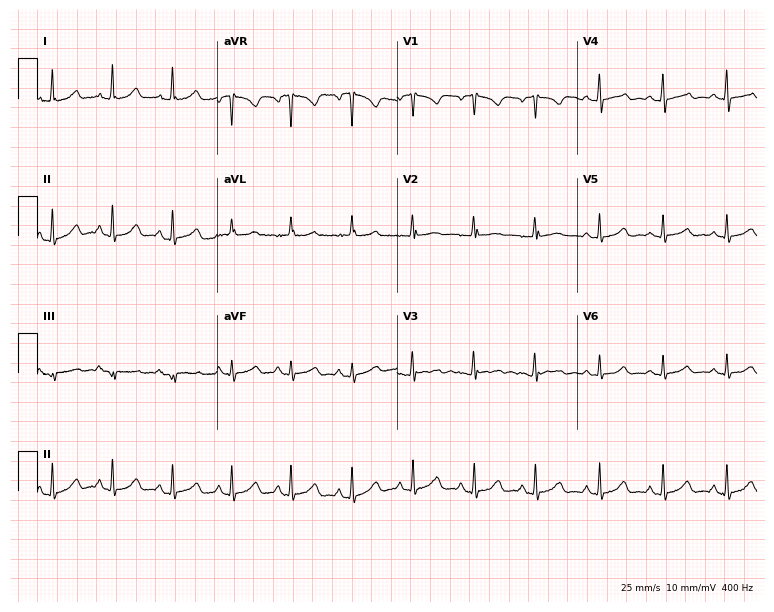
Standard 12-lead ECG recorded from a 20-year-old female (7.3-second recording at 400 Hz). None of these six findings is recorded: first-degree AV block, right bundle branch block (RBBB), left bundle branch block (LBBB), sinus bradycardia, atrial fibrillation (AF), sinus tachycardia.